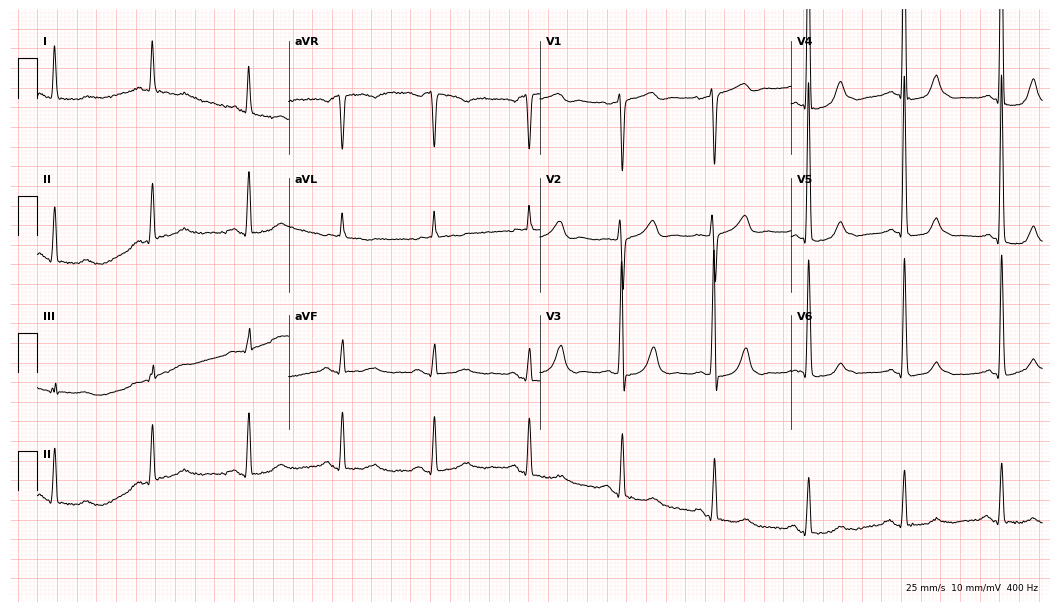
Standard 12-lead ECG recorded from a female, 70 years old. None of these six findings is recorded: first-degree AV block, right bundle branch block, left bundle branch block, sinus bradycardia, atrial fibrillation, sinus tachycardia. Other findings, if any, are not listed.